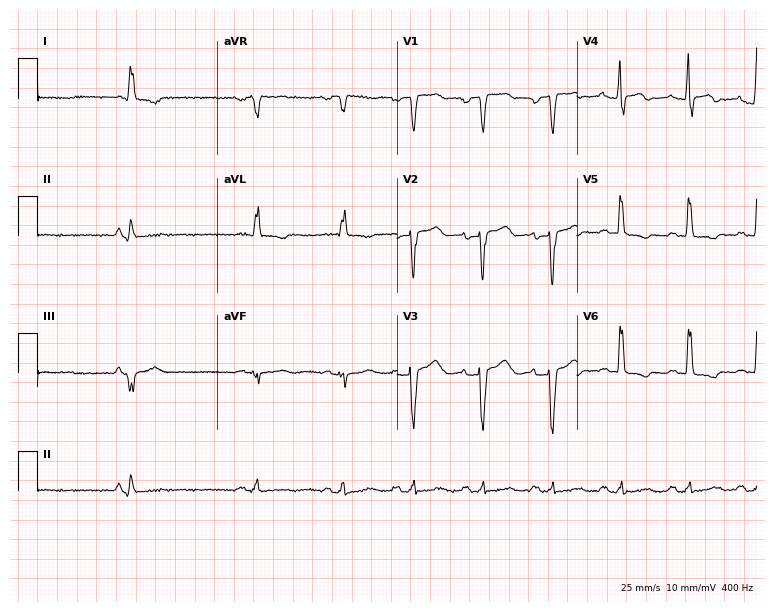
Resting 12-lead electrocardiogram. Patient: a 40-year-old man. None of these six findings is recorded: first-degree AV block, right bundle branch block, left bundle branch block, sinus bradycardia, atrial fibrillation, sinus tachycardia. Findings outside these six are not listed.